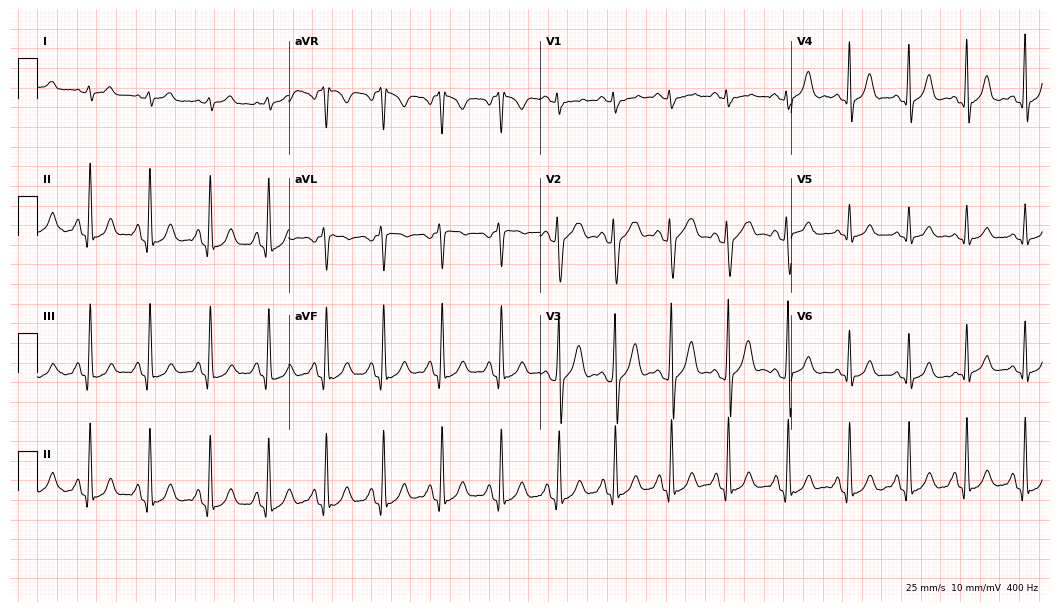
Standard 12-lead ECG recorded from a 21-year-old male (10.2-second recording at 400 Hz). The tracing shows sinus tachycardia (a sinus rate of 100 beats per minute or more).